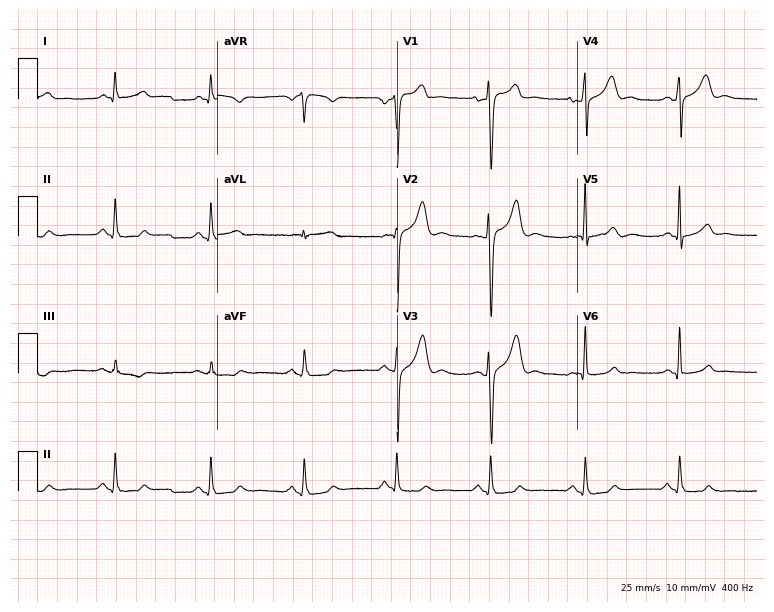
12-lead ECG from a male, 42 years old. Labelled as a normal ECG.